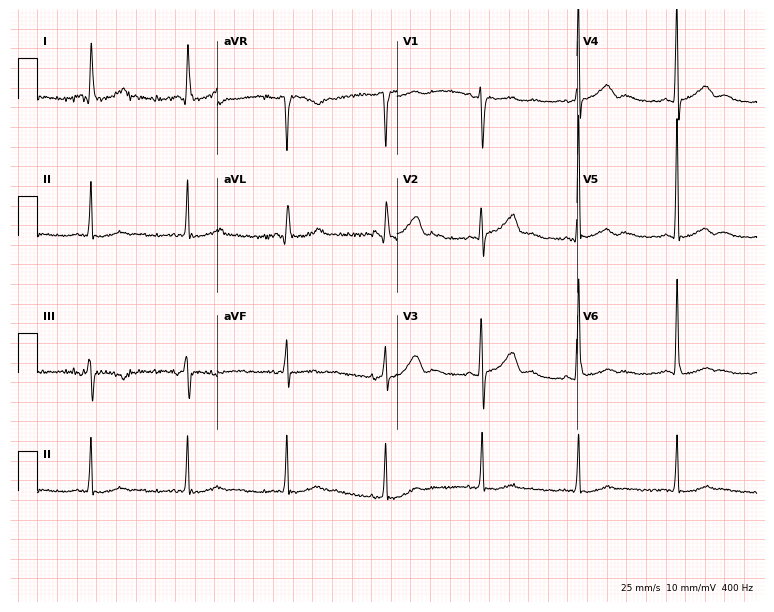
Standard 12-lead ECG recorded from a 68-year-old woman. None of these six findings is recorded: first-degree AV block, right bundle branch block, left bundle branch block, sinus bradycardia, atrial fibrillation, sinus tachycardia.